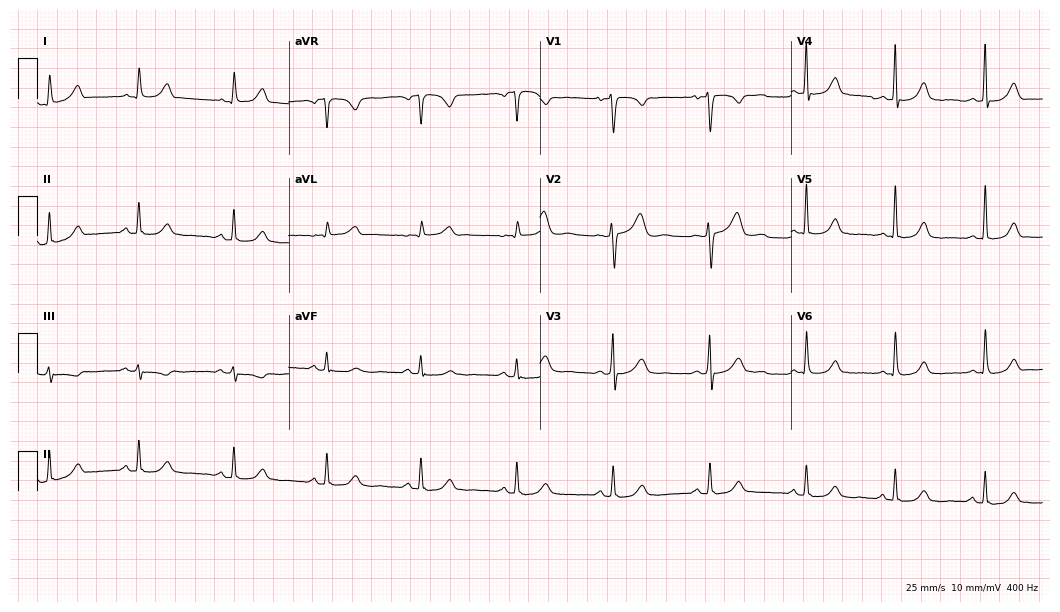
Standard 12-lead ECG recorded from a 49-year-old female patient (10.2-second recording at 400 Hz). None of these six findings is recorded: first-degree AV block, right bundle branch block (RBBB), left bundle branch block (LBBB), sinus bradycardia, atrial fibrillation (AF), sinus tachycardia. Findings outside these six are not listed.